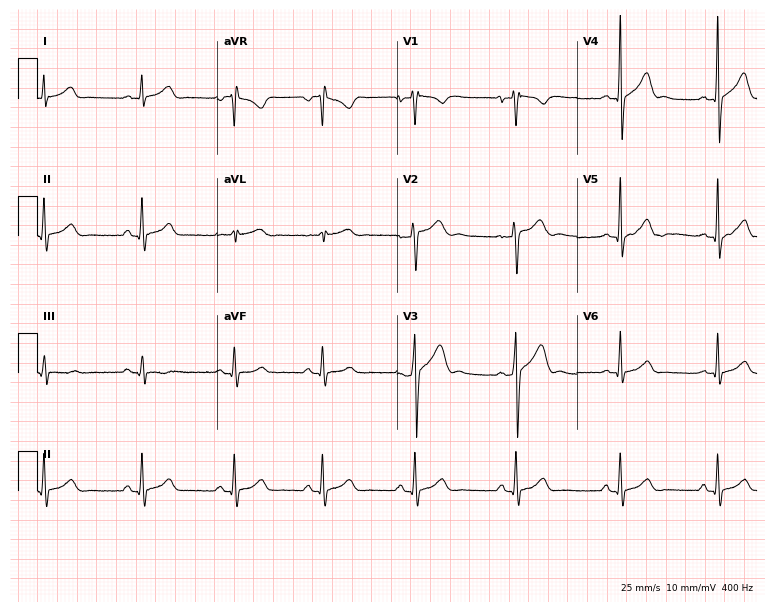
Standard 12-lead ECG recorded from a 19-year-old male. Read as a normal ECG.